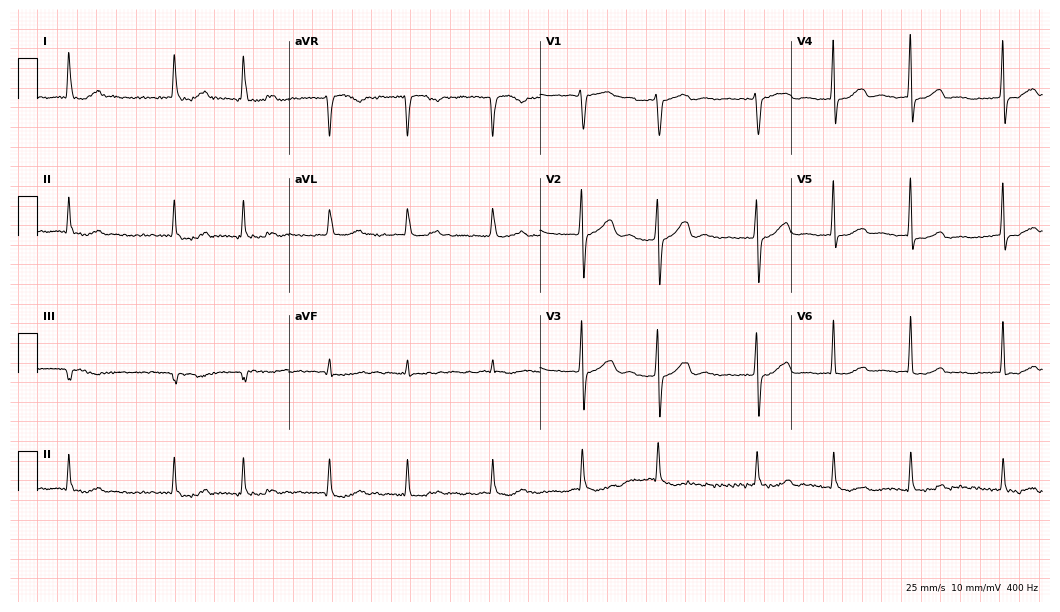
Standard 12-lead ECG recorded from a female, 82 years old. The tracing shows atrial fibrillation.